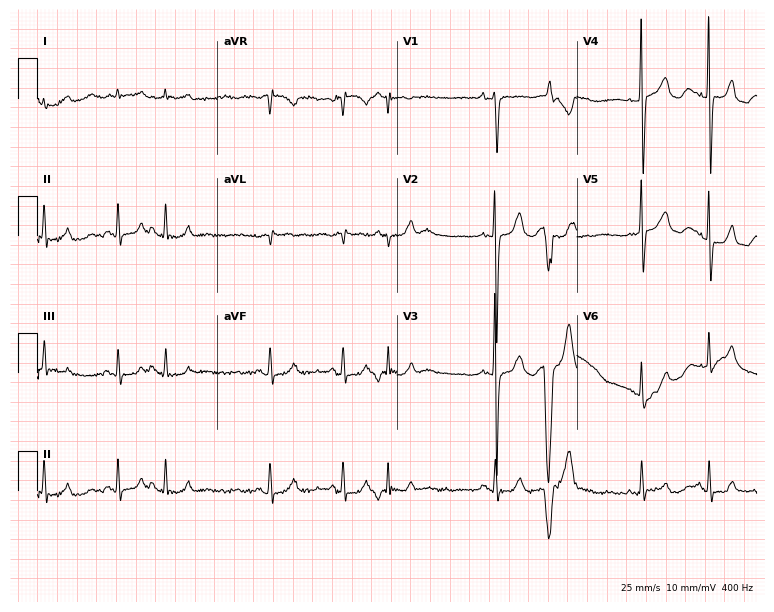
12-lead ECG from a woman, 76 years old (7.3-second recording at 400 Hz). No first-degree AV block, right bundle branch block, left bundle branch block, sinus bradycardia, atrial fibrillation or sinus tachycardia recorded for this tracing.